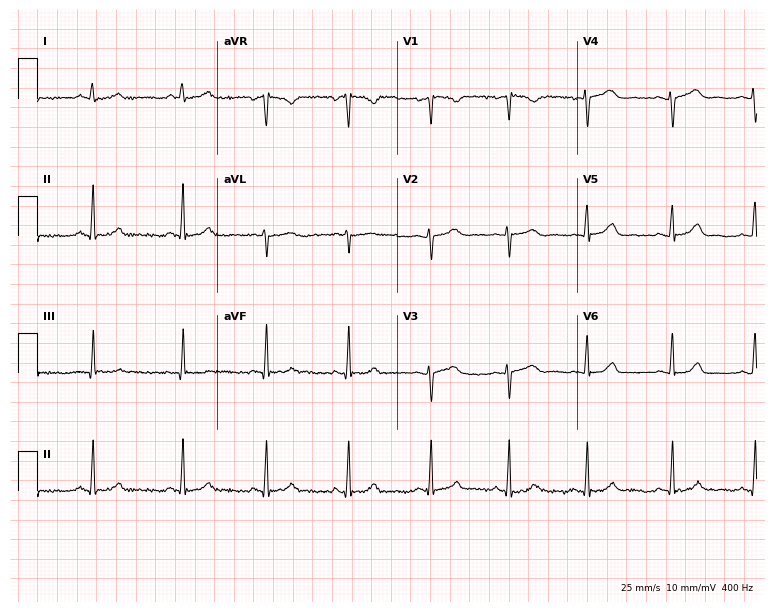
Electrocardiogram (7.3-second recording at 400 Hz), a woman, 29 years old. Of the six screened findings (first-degree AV block, right bundle branch block, left bundle branch block, sinus bradycardia, atrial fibrillation, sinus tachycardia), none is recorded. Findings outside these six are not listed.